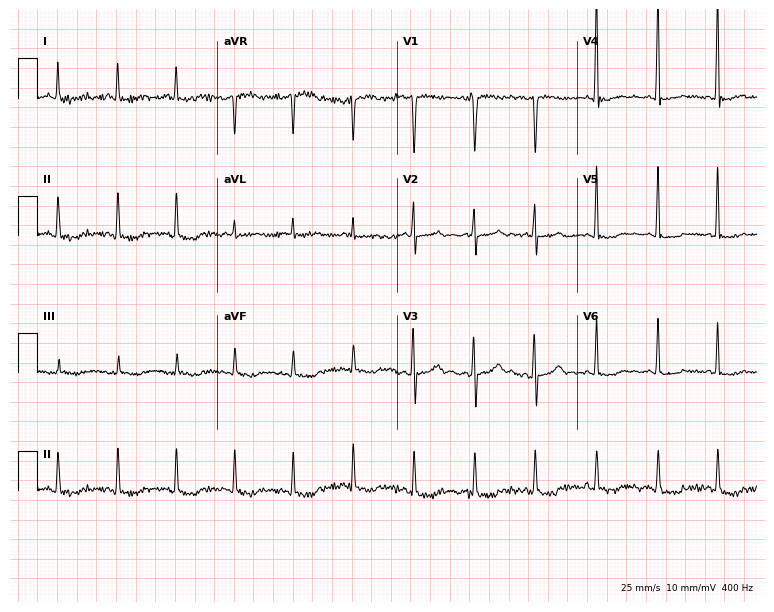
Resting 12-lead electrocardiogram. Patient: a 39-year-old female. None of these six findings is recorded: first-degree AV block, right bundle branch block, left bundle branch block, sinus bradycardia, atrial fibrillation, sinus tachycardia.